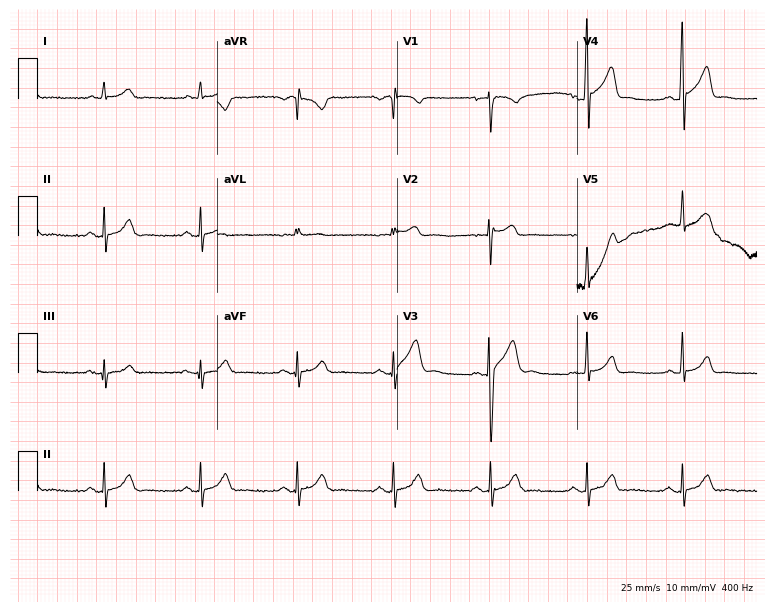
ECG (7.3-second recording at 400 Hz) — a 31-year-old male patient. Labelled as a normal ECG.